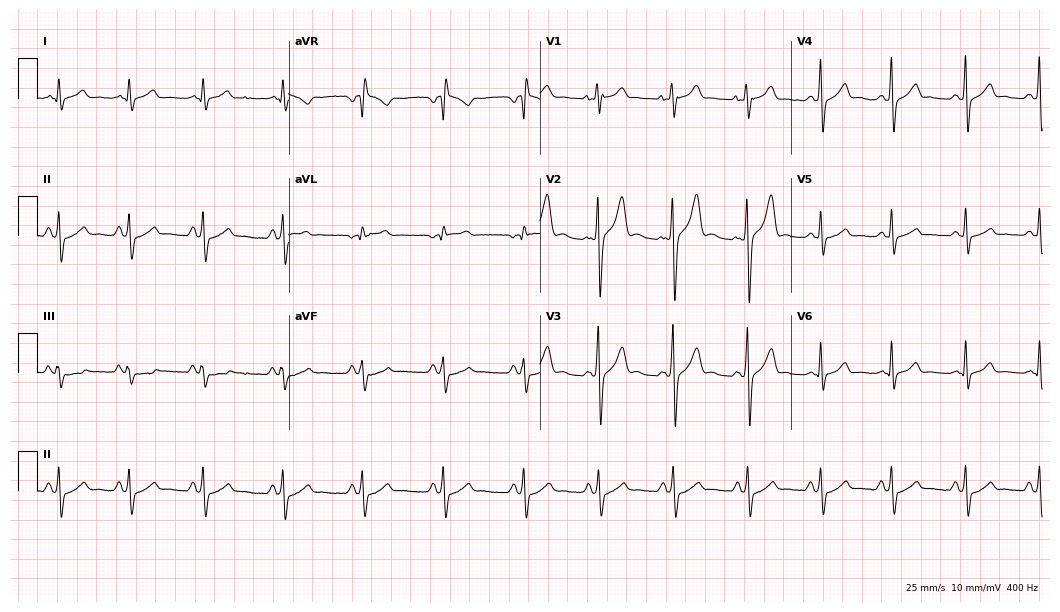
Resting 12-lead electrocardiogram (10.2-second recording at 400 Hz). Patient: a male, 19 years old. Read as a normal ECG.